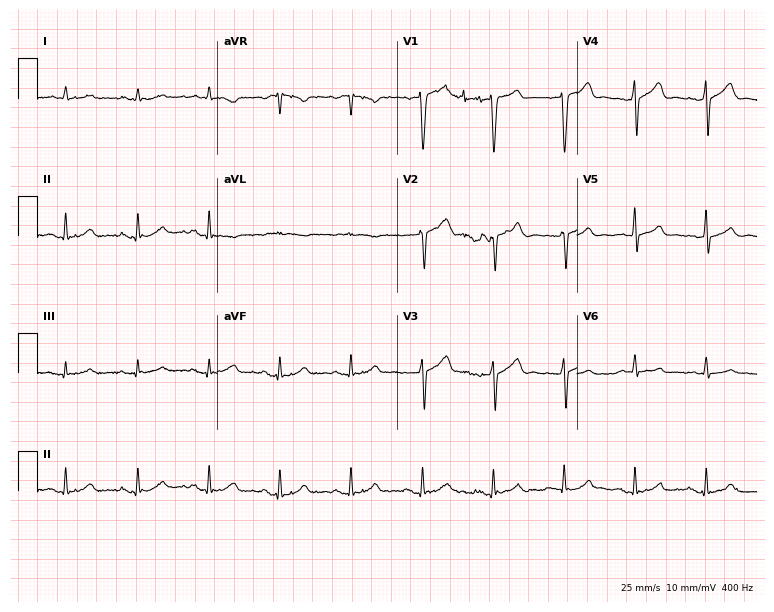
12-lead ECG (7.3-second recording at 400 Hz) from a man, 49 years old. Labelled as a normal ECG.